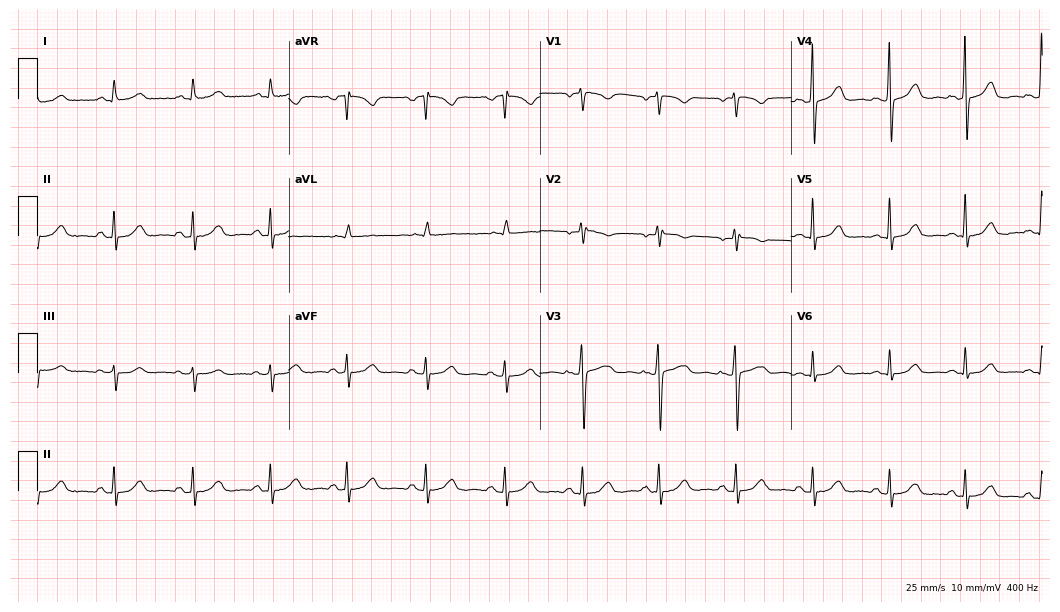
12-lead ECG from a 63-year-old woman (10.2-second recording at 400 Hz). Recorded interpretation: within normal limits.